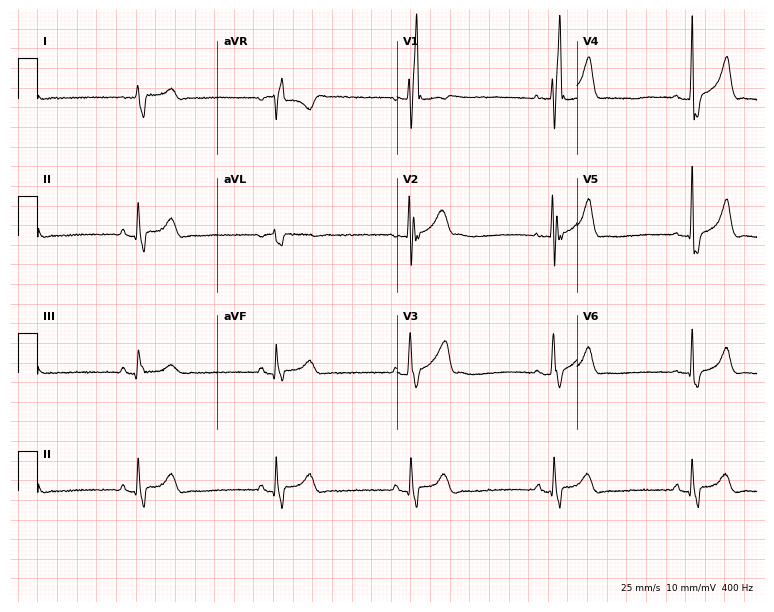
Standard 12-lead ECG recorded from a man, 23 years old. The tracing shows right bundle branch block (RBBB).